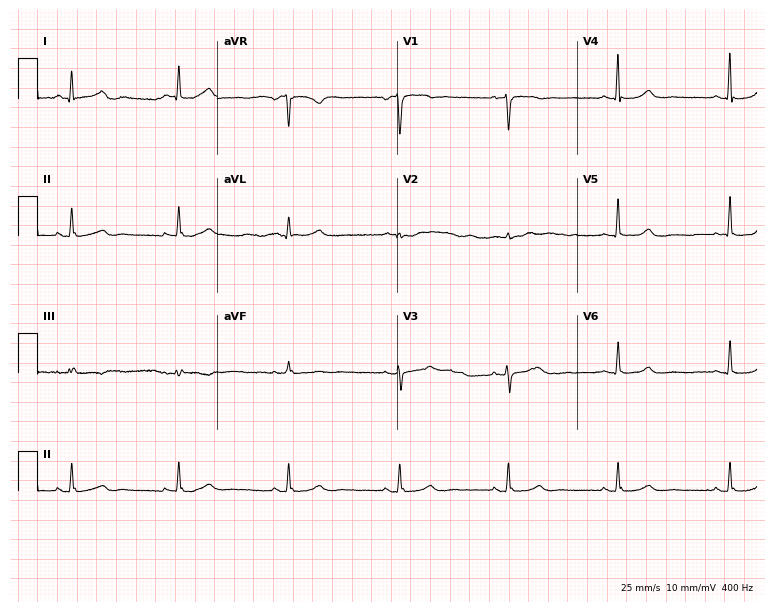
Electrocardiogram (7.3-second recording at 400 Hz), a 66-year-old female. Overall reading on record: normal ECG.